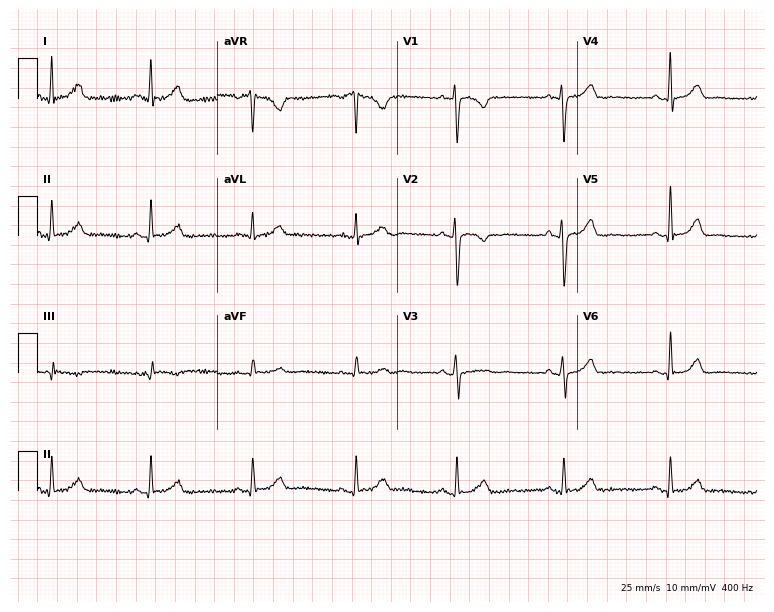
ECG (7.3-second recording at 400 Hz) — a female, 35 years old. Labelled as a normal ECG.